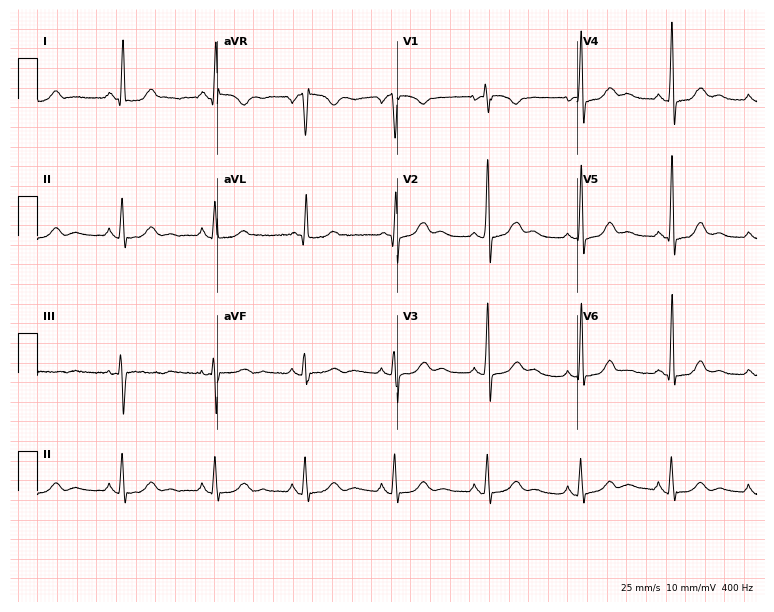
Resting 12-lead electrocardiogram (7.3-second recording at 400 Hz). Patient: a 51-year-old woman. Read as a normal ECG.